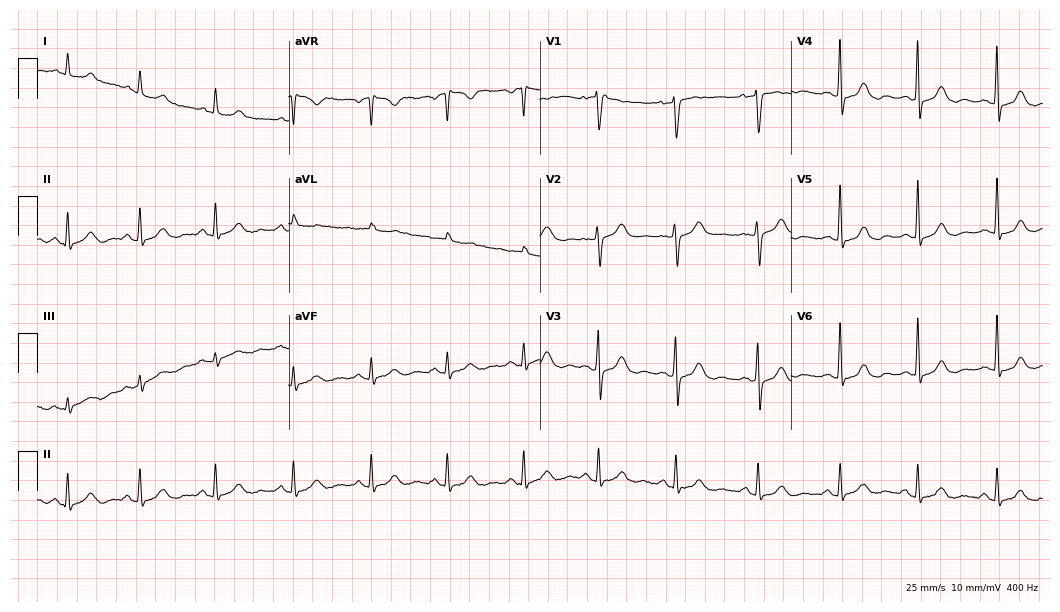
ECG — a woman, 62 years old. Labelled as a normal ECG.